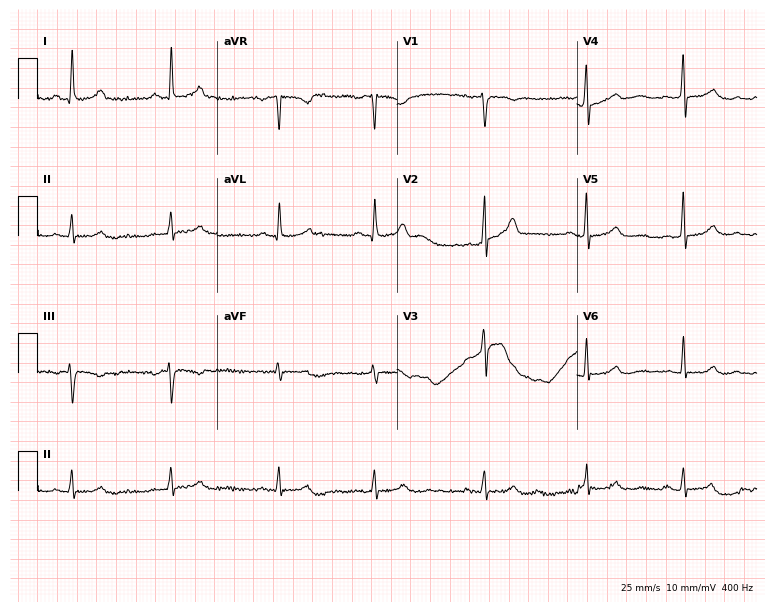
Electrocardiogram, a man, 62 years old. Overall reading on record: normal ECG.